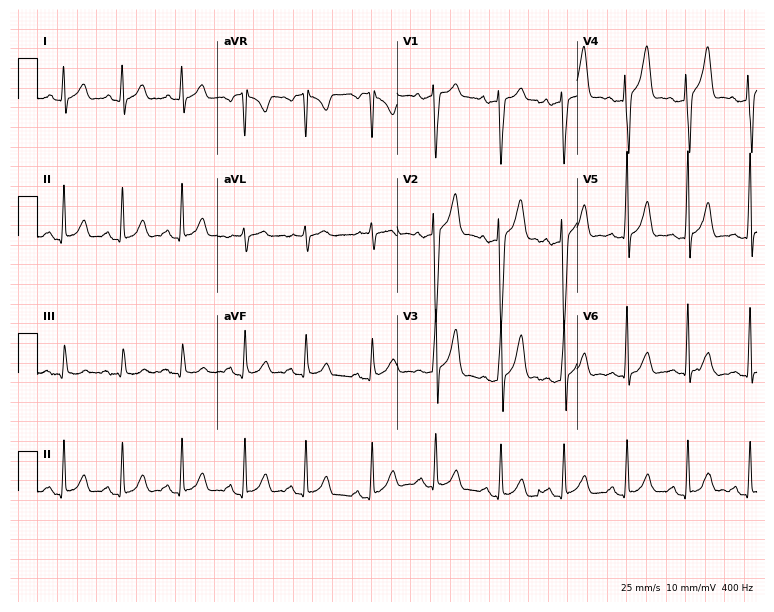
12-lead ECG from a male, 33 years old. Labelled as a normal ECG.